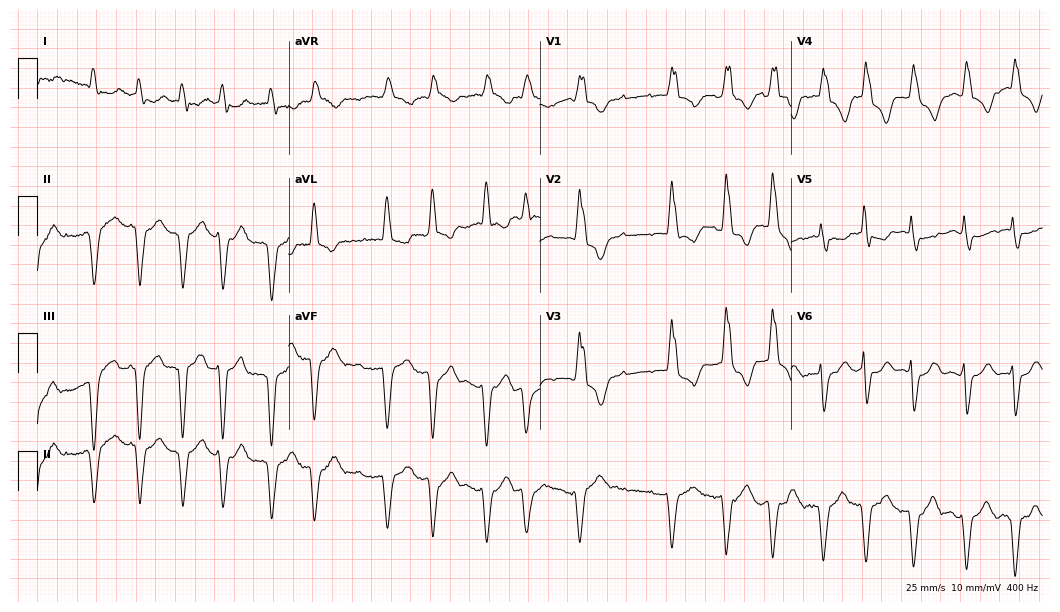
Standard 12-lead ECG recorded from a 74-year-old female (10.2-second recording at 400 Hz). The tracing shows right bundle branch block, atrial fibrillation.